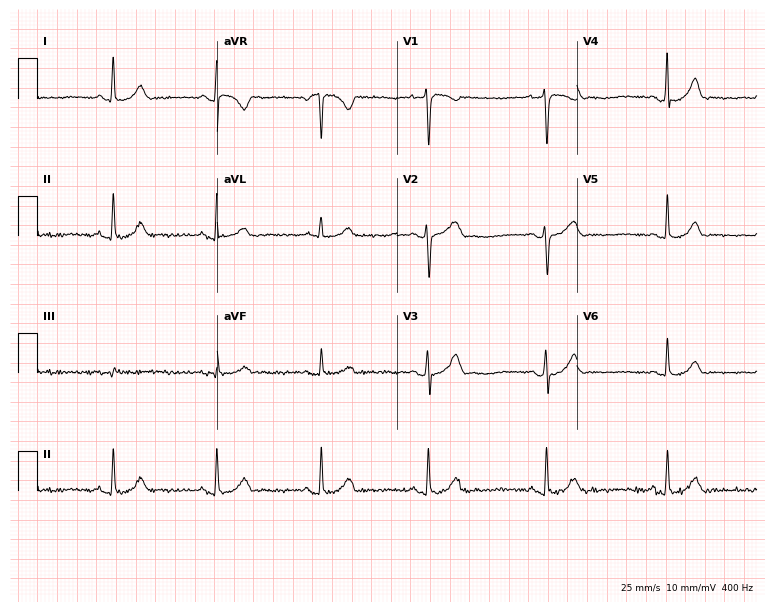
Standard 12-lead ECG recorded from a 20-year-old female. Read as a normal ECG.